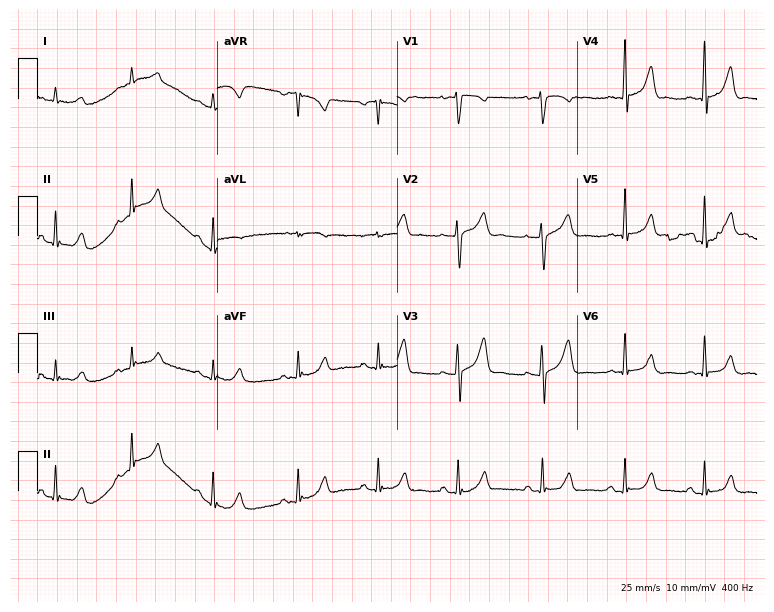
Standard 12-lead ECG recorded from a woman, 52 years old (7.3-second recording at 400 Hz). Read as a normal ECG.